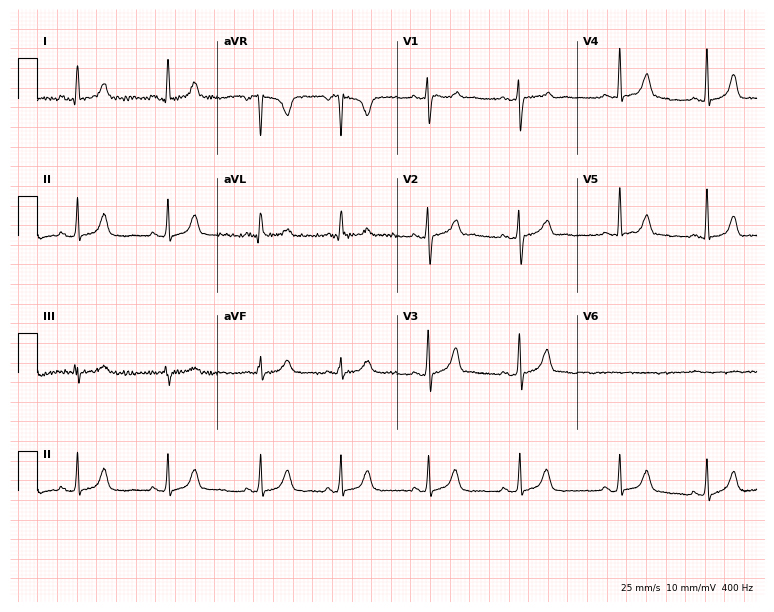
Standard 12-lead ECG recorded from a 25-year-old female. None of these six findings is recorded: first-degree AV block, right bundle branch block (RBBB), left bundle branch block (LBBB), sinus bradycardia, atrial fibrillation (AF), sinus tachycardia. Other findings, if any, are not listed.